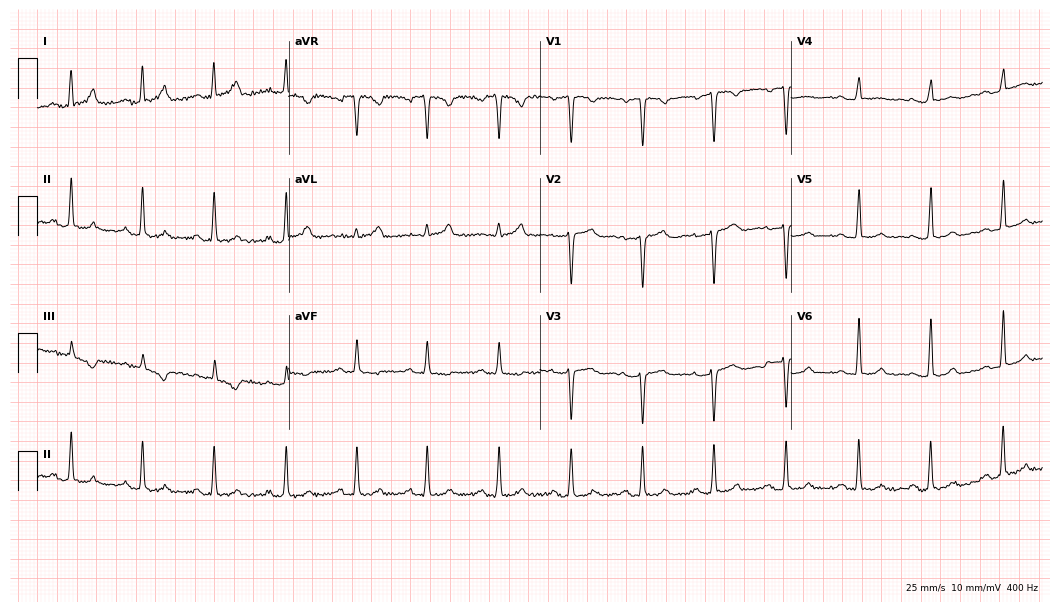
Resting 12-lead electrocardiogram. Patient: a female, 68 years old. Read as a normal ECG.